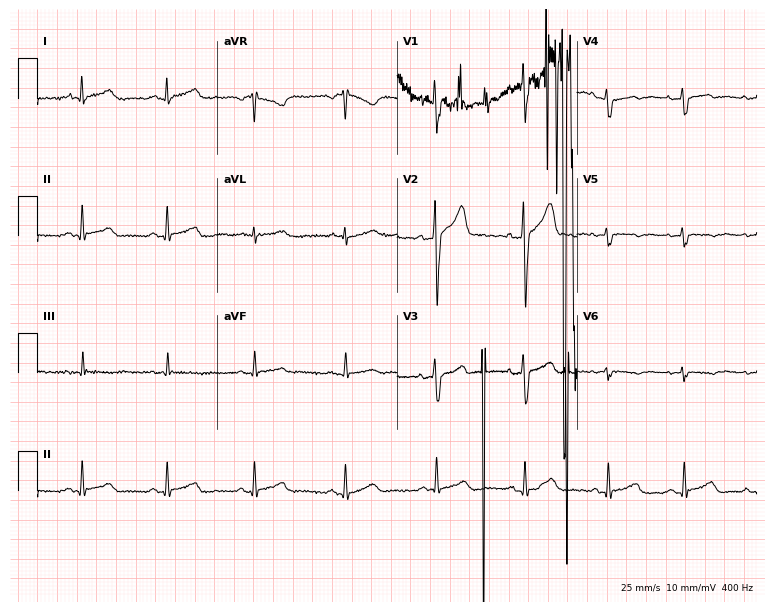
Electrocardiogram, a man, 36 years old. Of the six screened findings (first-degree AV block, right bundle branch block, left bundle branch block, sinus bradycardia, atrial fibrillation, sinus tachycardia), none is recorded. Only these six findings were labelled.